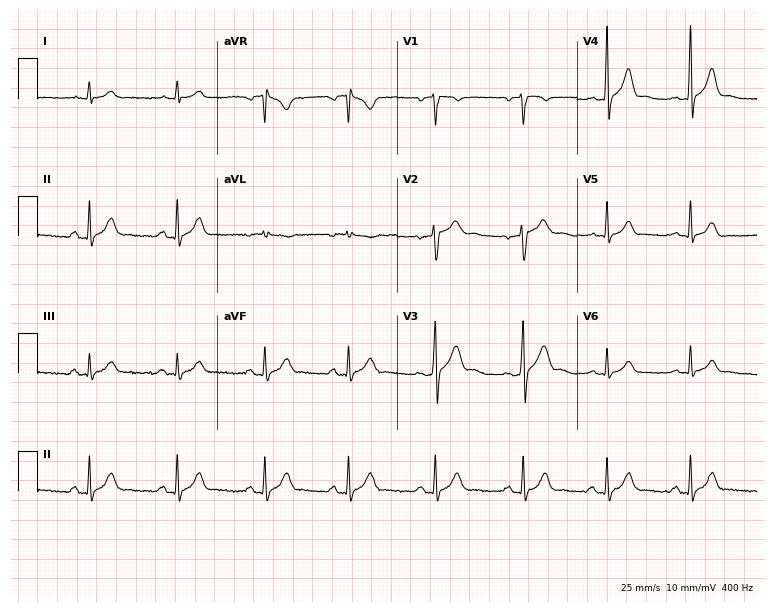
ECG — a man, 32 years old. Labelled as a normal ECG.